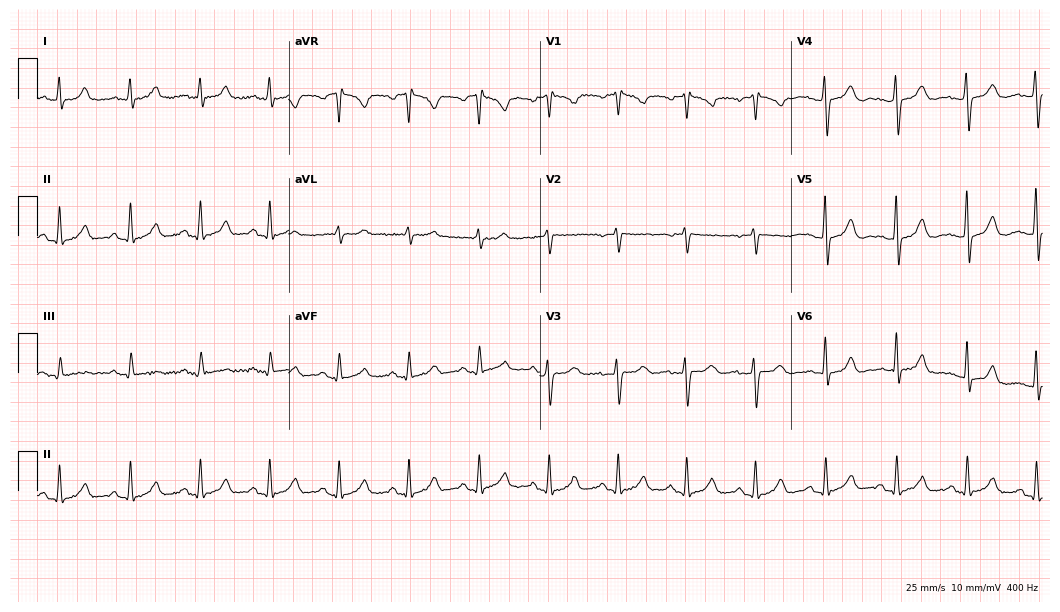
12-lead ECG (10.2-second recording at 400 Hz) from a woman, 57 years old. Screened for six findings — first-degree AV block, right bundle branch block (RBBB), left bundle branch block (LBBB), sinus bradycardia, atrial fibrillation (AF), sinus tachycardia — none is recorded. Findings outside these six are not listed.